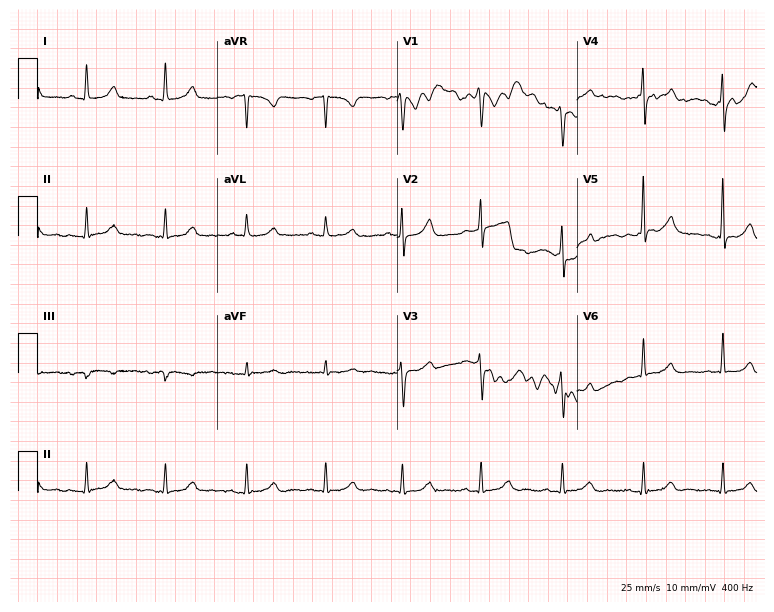
Electrocardiogram (7.3-second recording at 400 Hz), a 38-year-old female. Of the six screened findings (first-degree AV block, right bundle branch block (RBBB), left bundle branch block (LBBB), sinus bradycardia, atrial fibrillation (AF), sinus tachycardia), none is recorded. Only these six findings were labelled.